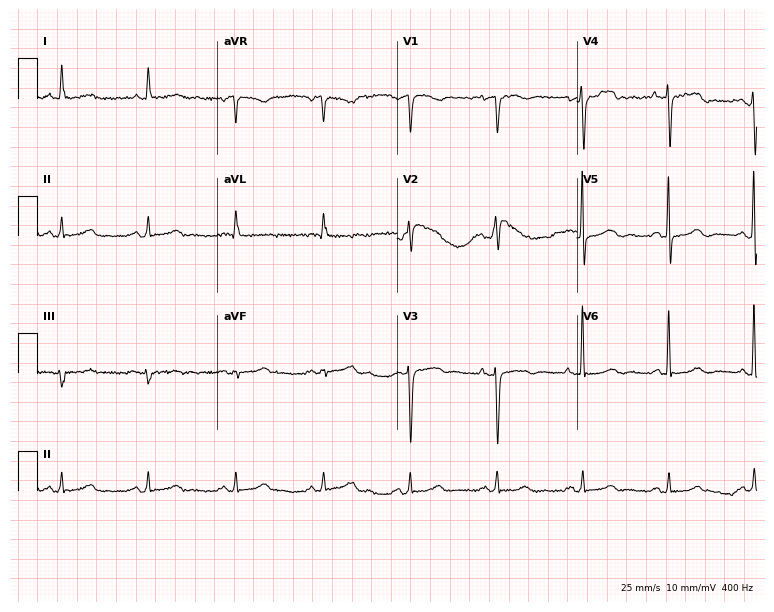
12-lead ECG from a 74-year-old female patient (7.3-second recording at 400 Hz). No first-degree AV block, right bundle branch block (RBBB), left bundle branch block (LBBB), sinus bradycardia, atrial fibrillation (AF) or sinus tachycardia recorded for this tracing. Other findings, if any, are not listed.